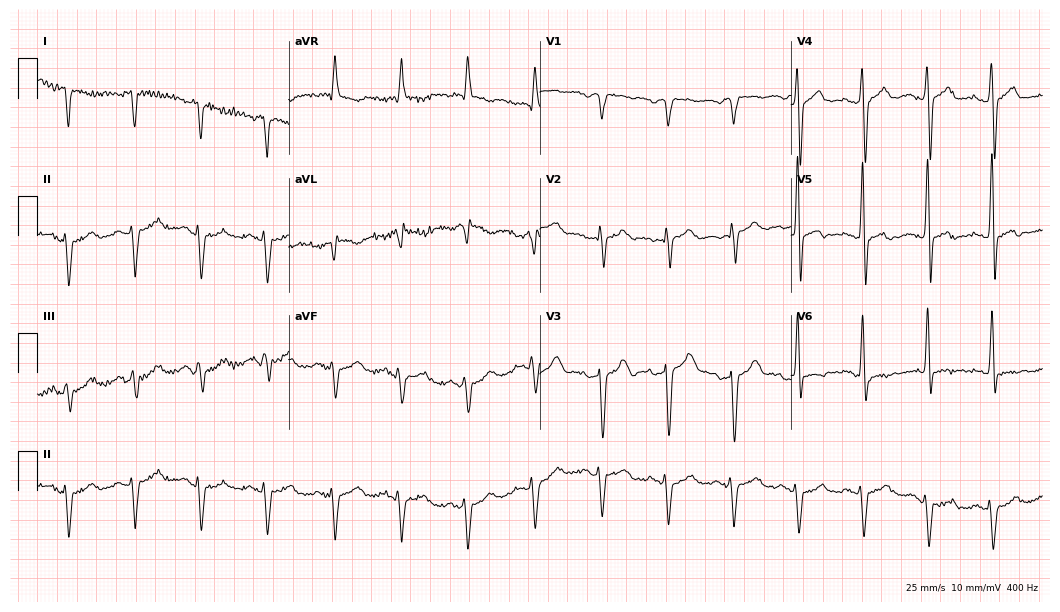
Electrocardiogram (10.2-second recording at 400 Hz), a 79-year-old man. Of the six screened findings (first-degree AV block, right bundle branch block, left bundle branch block, sinus bradycardia, atrial fibrillation, sinus tachycardia), none is recorded.